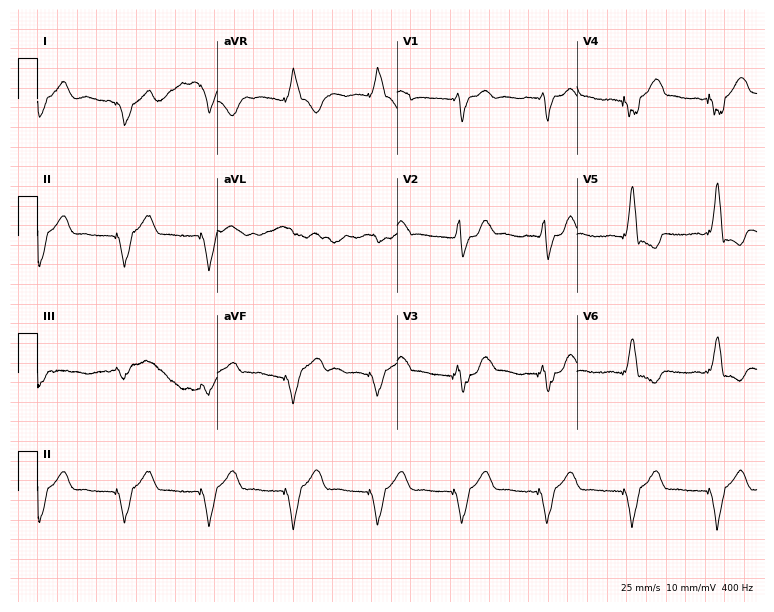
Resting 12-lead electrocardiogram (7.3-second recording at 400 Hz). Patient: a female, 83 years old. None of these six findings is recorded: first-degree AV block, right bundle branch block (RBBB), left bundle branch block (LBBB), sinus bradycardia, atrial fibrillation (AF), sinus tachycardia.